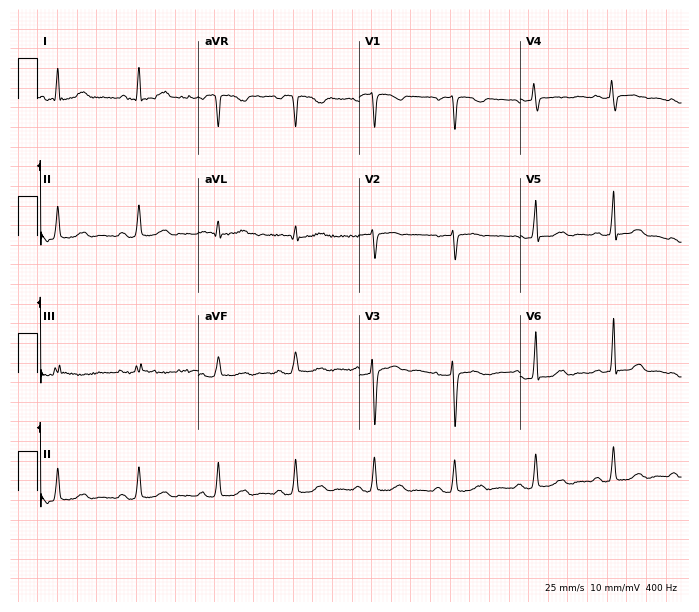
Resting 12-lead electrocardiogram. Patient: a female, 44 years old. None of these six findings is recorded: first-degree AV block, right bundle branch block, left bundle branch block, sinus bradycardia, atrial fibrillation, sinus tachycardia. Other findings, if any, are not listed.